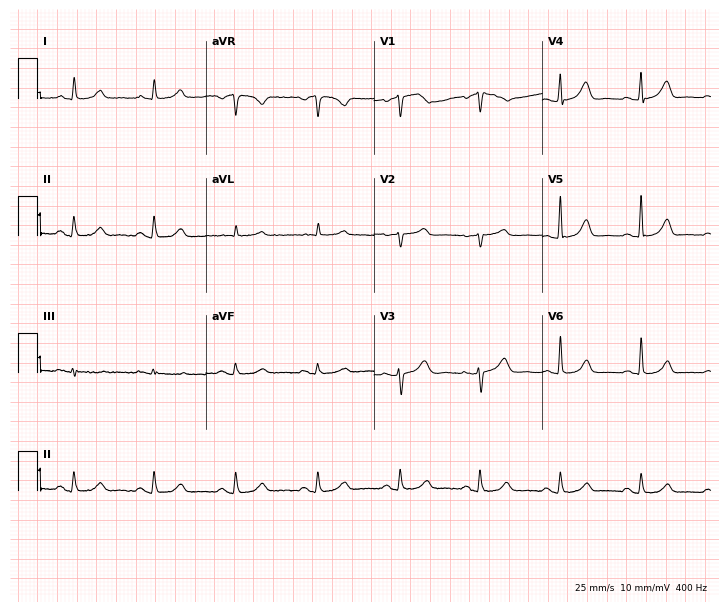
12-lead ECG (6.9-second recording at 400 Hz) from an 83-year-old woman. Screened for six findings — first-degree AV block, right bundle branch block, left bundle branch block, sinus bradycardia, atrial fibrillation, sinus tachycardia — none is recorded.